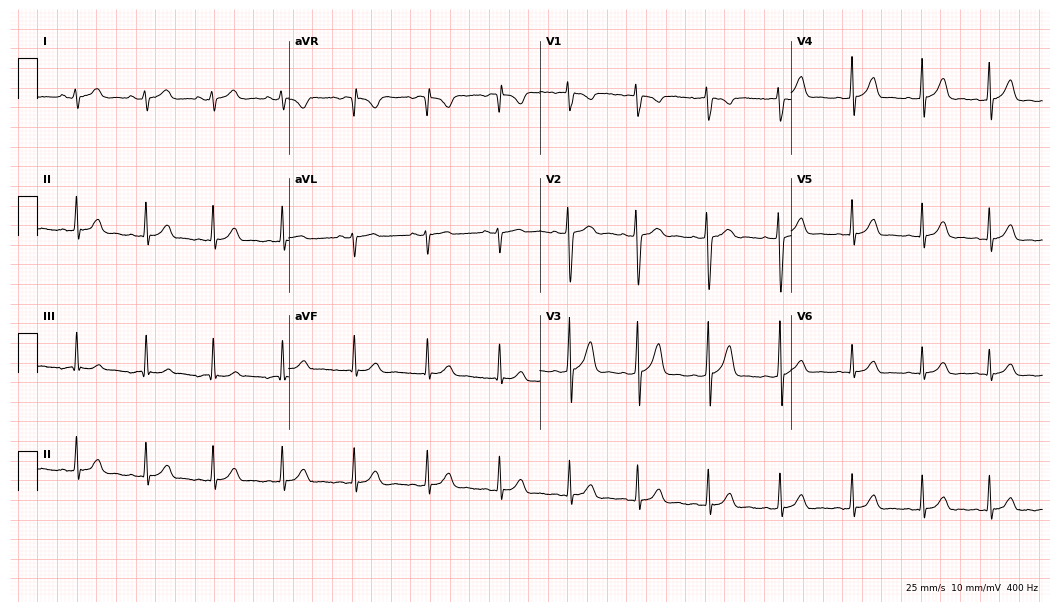
Standard 12-lead ECG recorded from a female, 17 years old (10.2-second recording at 400 Hz). Read as a normal ECG.